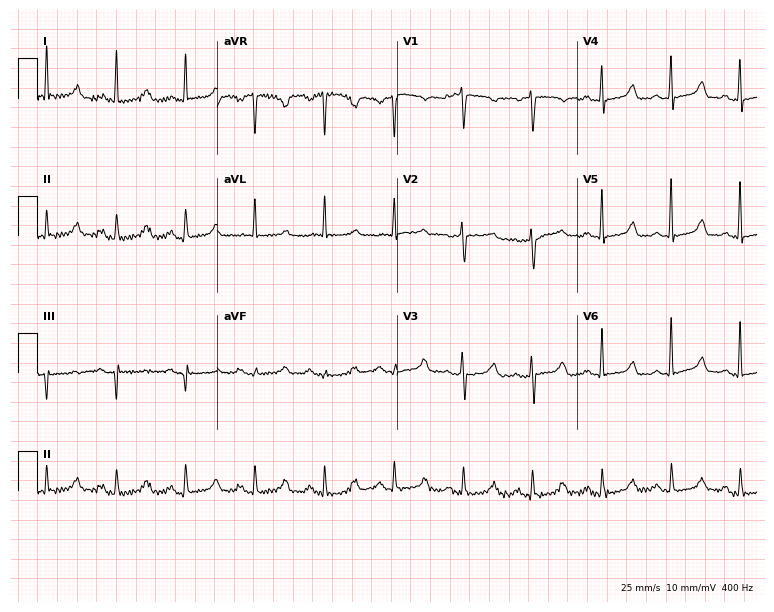
12-lead ECG from a 73-year-old woman. No first-degree AV block, right bundle branch block (RBBB), left bundle branch block (LBBB), sinus bradycardia, atrial fibrillation (AF) or sinus tachycardia recorded for this tracing.